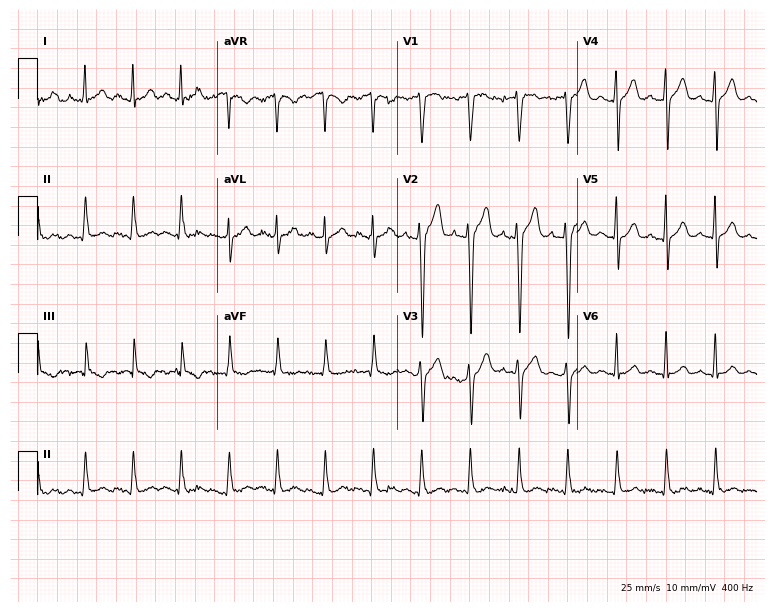
ECG — a male, 33 years old. Findings include sinus tachycardia (a sinus rate of 100 beats per minute or more).